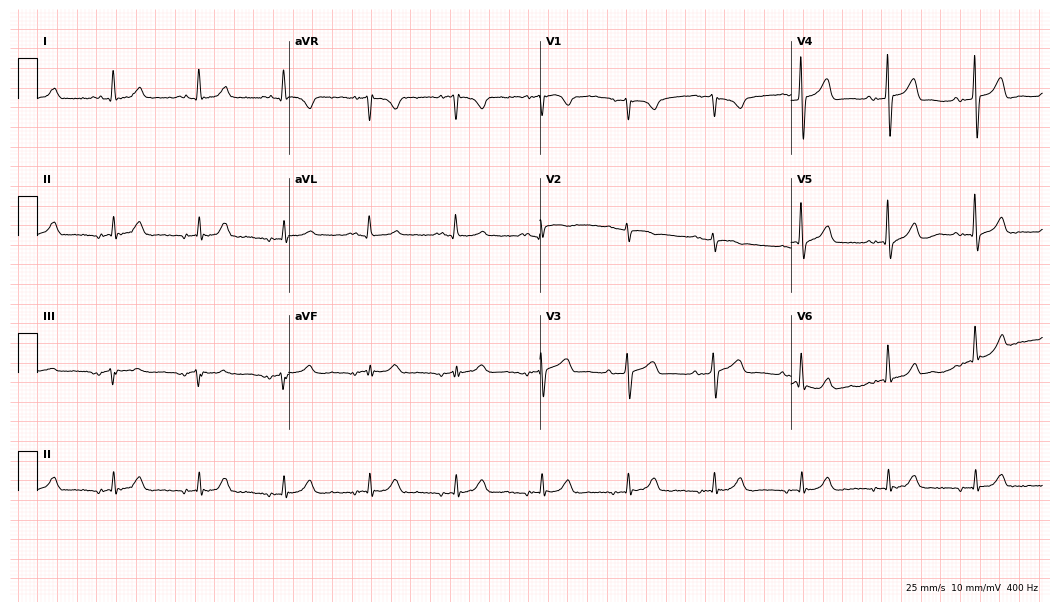
12-lead ECG from a male patient, 79 years old. Screened for six findings — first-degree AV block, right bundle branch block, left bundle branch block, sinus bradycardia, atrial fibrillation, sinus tachycardia — none is recorded.